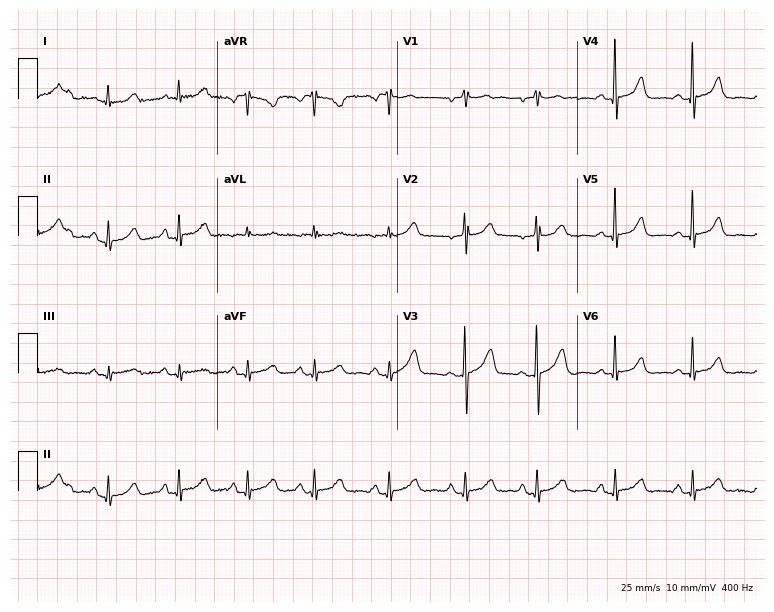
Electrocardiogram, a 68-year-old female patient. Of the six screened findings (first-degree AV block, right bundle branch block, left bundle branch block, sinus bradycardia, atrial fibrillation, sinus tachycardia), none is recorded.